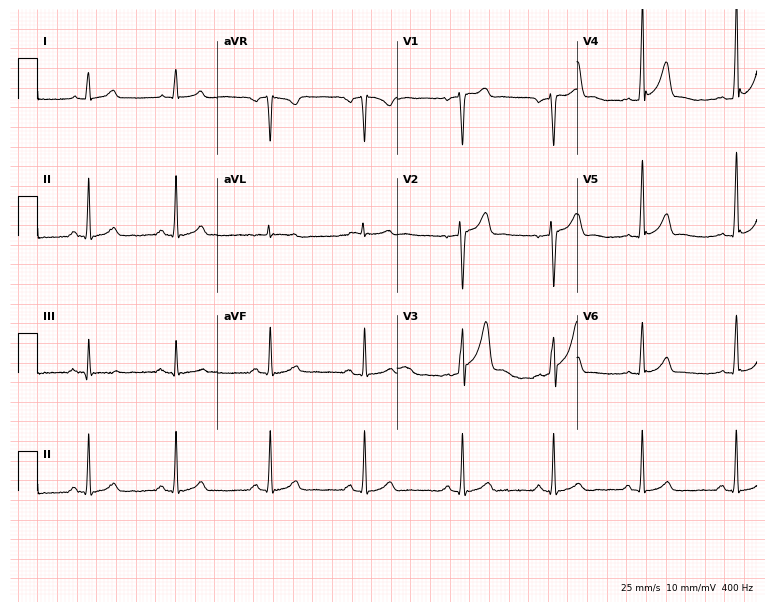
Resting 12-lead electrocardiogram. Patient: a 24-year-old female. Read as a normal ECG.